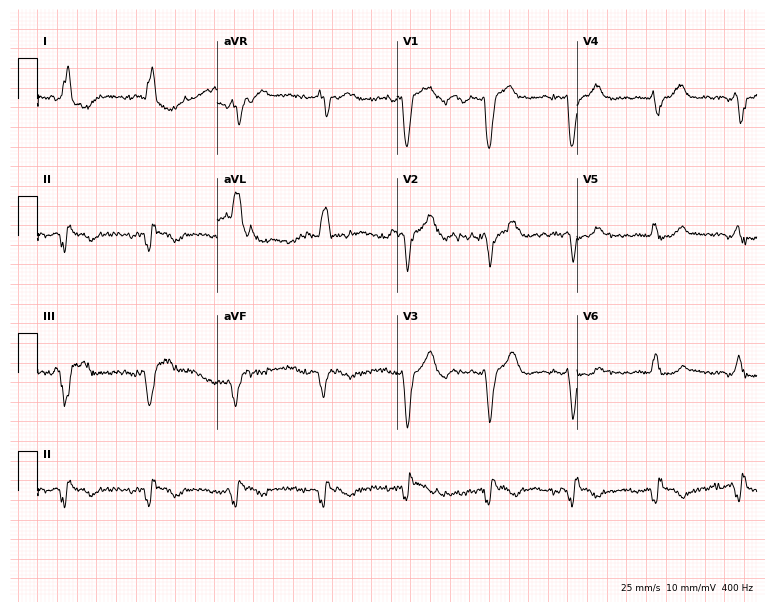
12-lead ECG (7.3-second recording at 400 Hz) from a 69-year-old female. Screened for six findings — first-degree AV block, right bundle branch block, left bundle branch block, sinus bradycardia, atrial fibrillation, sinus tachycardia — none is recorded. Other findings, if any, are not listed.